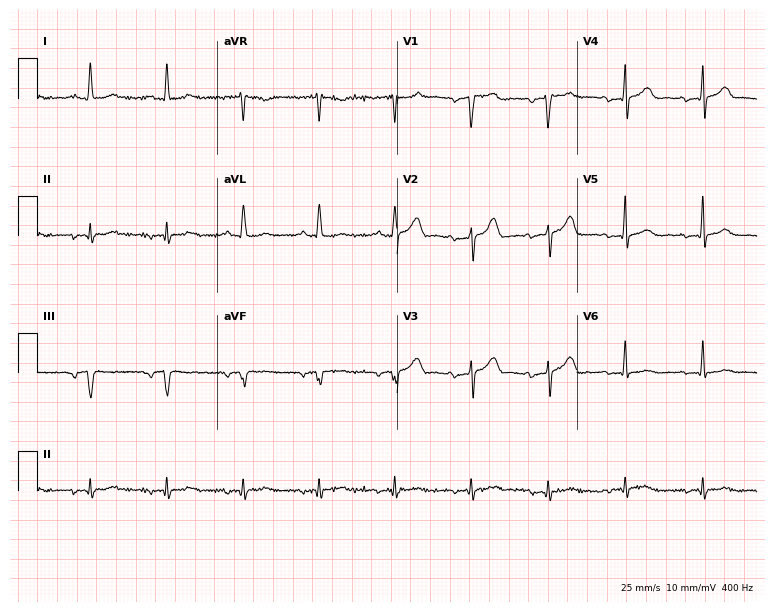
ECG (7.3-second recording at 400 Hz) — a 61-year-old man. Screened for six findings — first-degree AV block, right bundle branch block, left bundle branch block, sinus bradycardia, atrial fibrillation, sinus tachycardia — none is recorded. Findings outside these six are not listed.